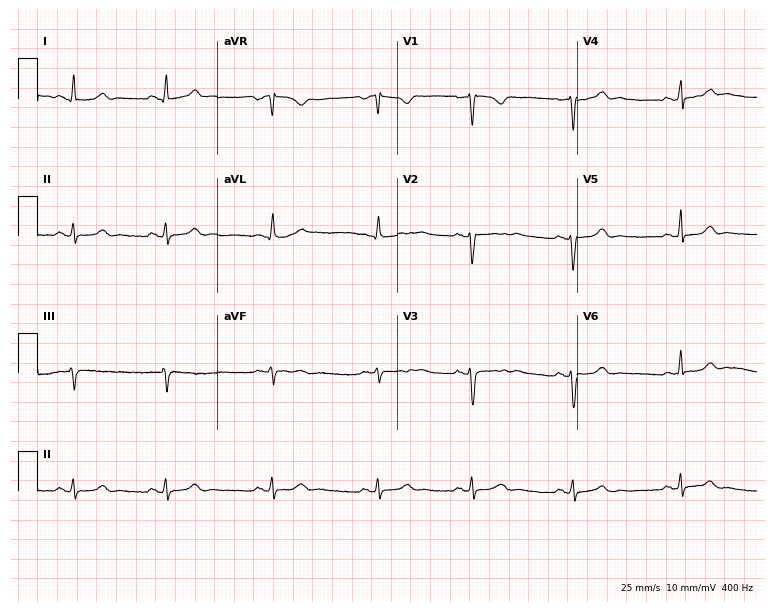
12-lead ECG from a female patient, 30 years old (7.3-second recording at 400 Hz). Recorded interpretation: within normal limits.